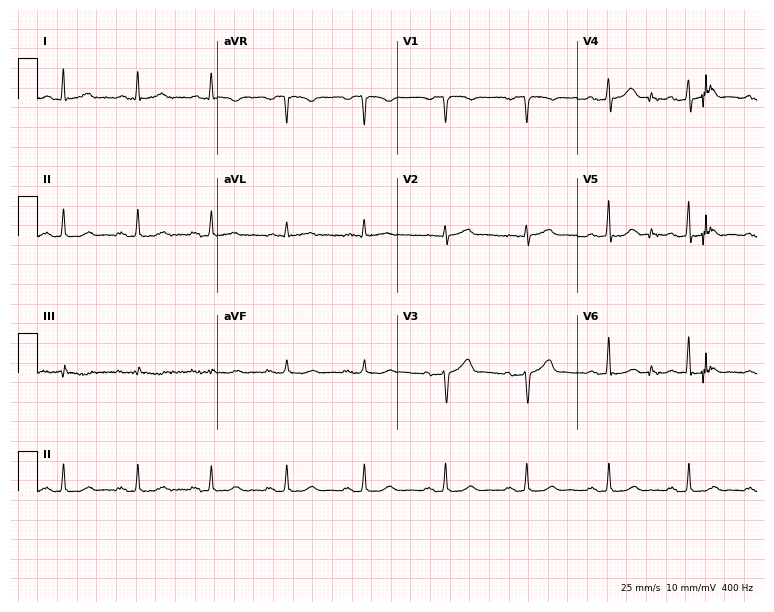
ECG (7.3-second recording at 400 Hz) — a 53-year-old man. Labelled as a normal ECG.